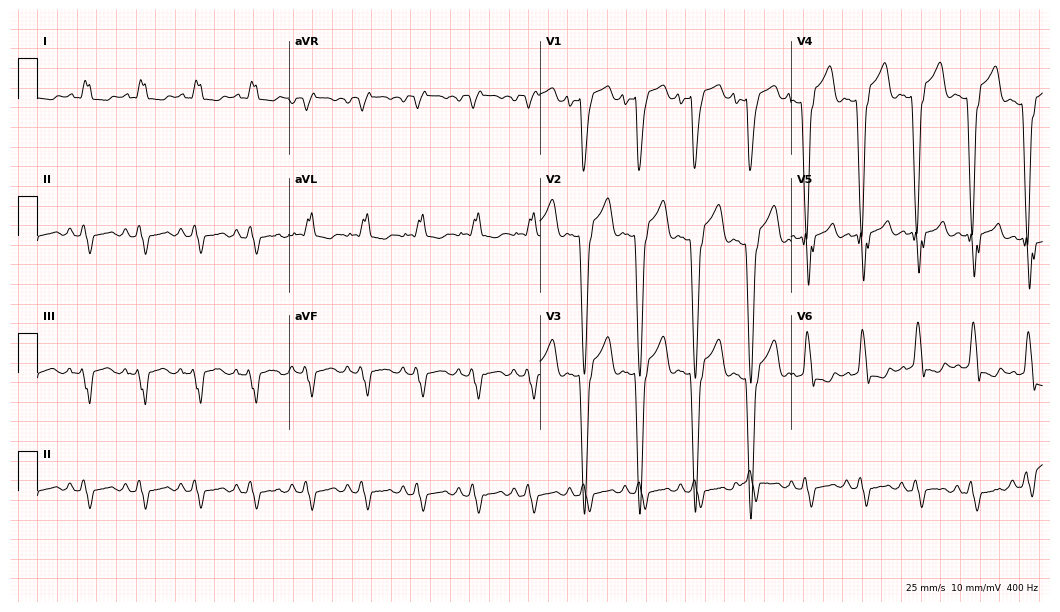
Electrocardiogram, a 63-year-old male. Interpretation includes left bundle branch block, sinus tachycardia (a sinus rate of 100 beats per minute or more).